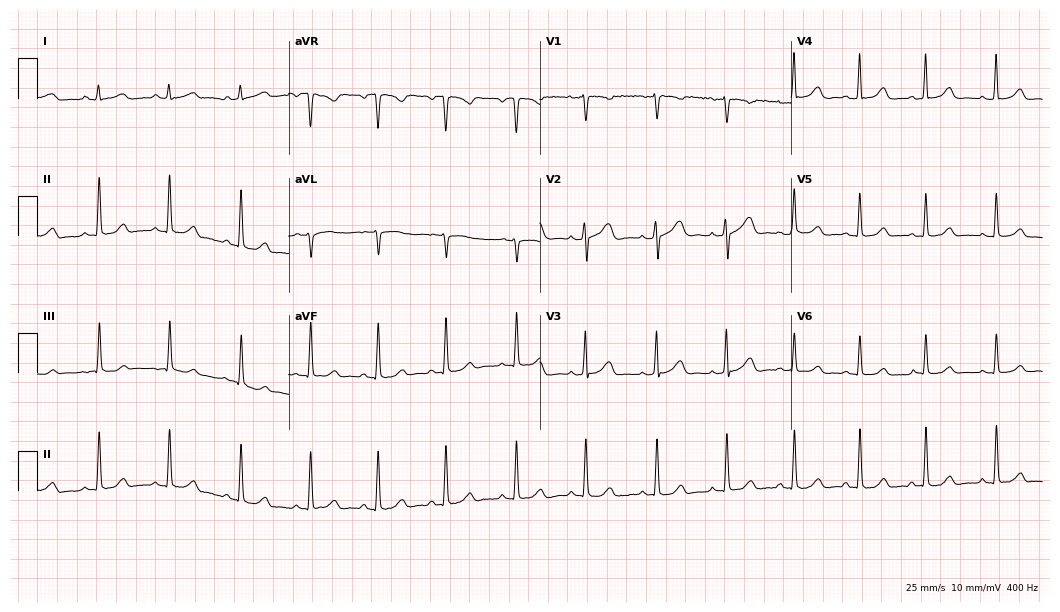
Electrocardiogram, a 31-year-old female. Overall reading on record: normal ECG.